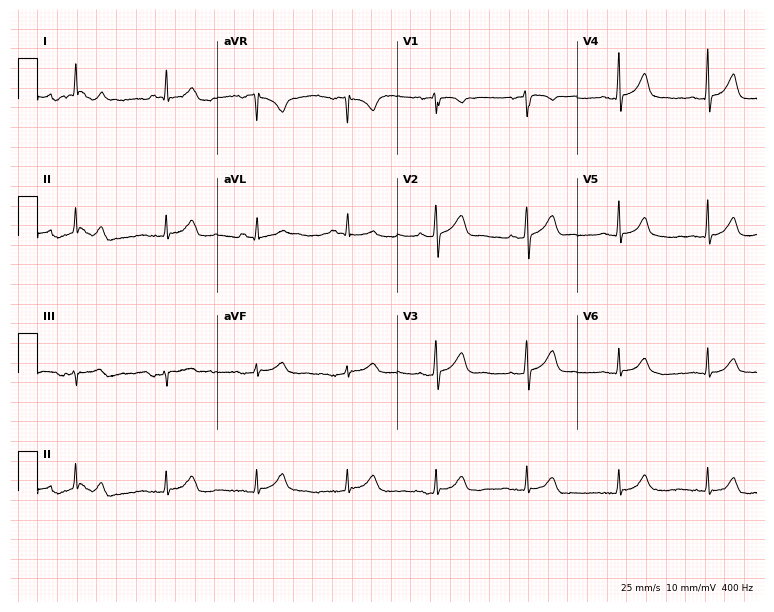
Resting 12-lead electrocardiogram. Patient: a female, 69 years old. None of these six findings is recorded: first-degree AV block, right bundle branch block, left bundle branch block, sinus bradycardia, atrial fibrillation, sinus tachycardia.